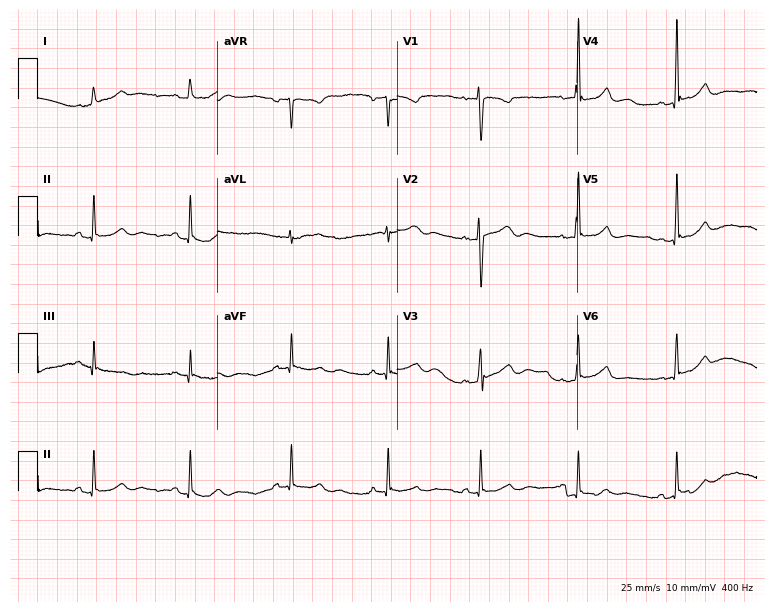
Resting 12-lead electrocardiogram (7.3-second recording at 400 Hz). Patient: a 51-year-old female. Read as a normal ECG.